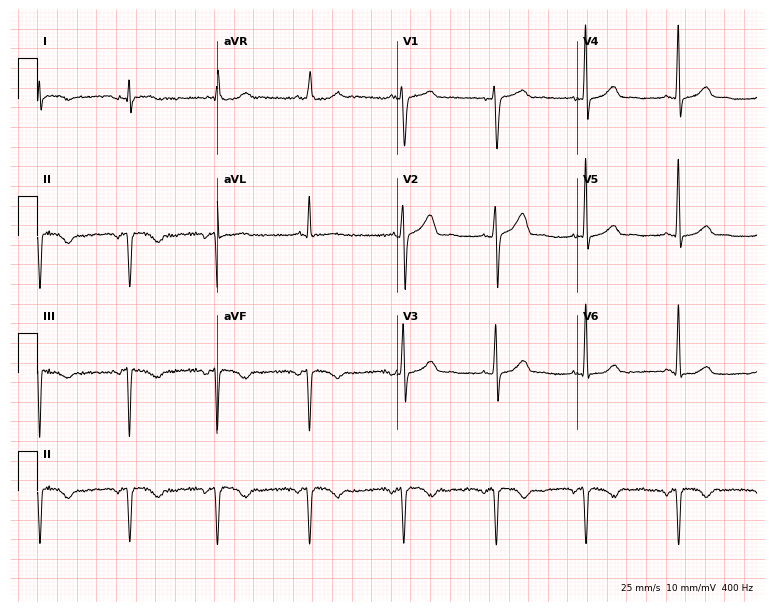
Resting 12-lead electrocardiogram. Patient: a female, 40 years old. None of these six findings is recorded: first-degree AV block, right bundle branch block, left bundle branch block, sinus bradycardia, atrial fibrillation, sinus tachycardia.